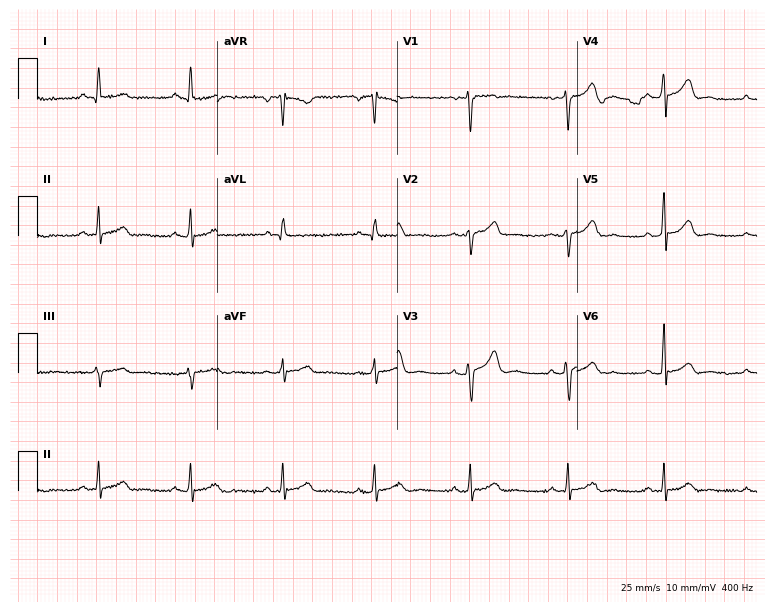
12-lead ECG from a male, 45 years old. Labelled as a normal ECG.